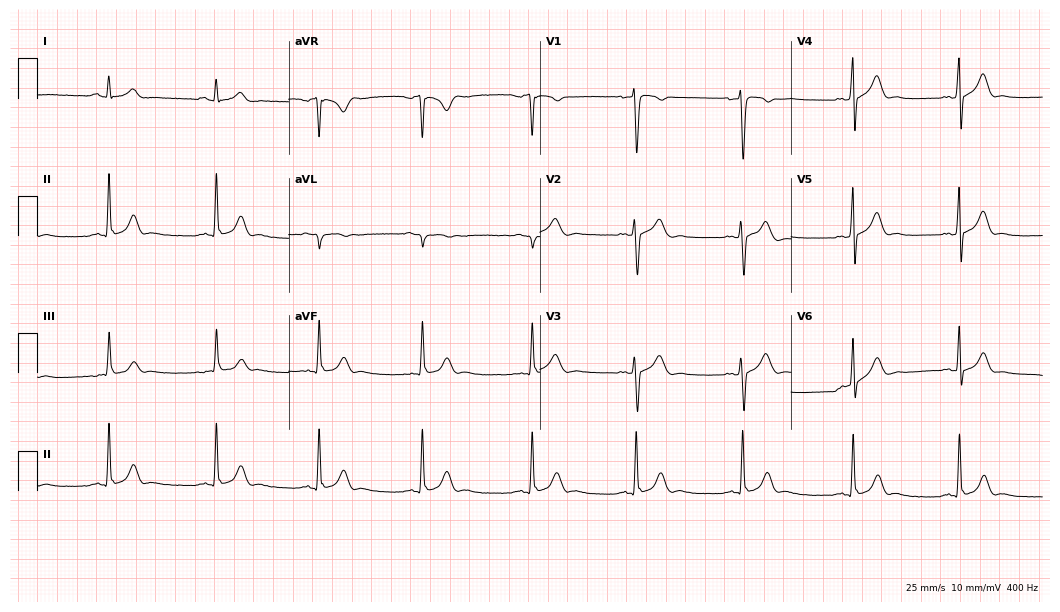
12-lead ECG from a 20-year-old male patient. Recorded interpretation: within normal limits.